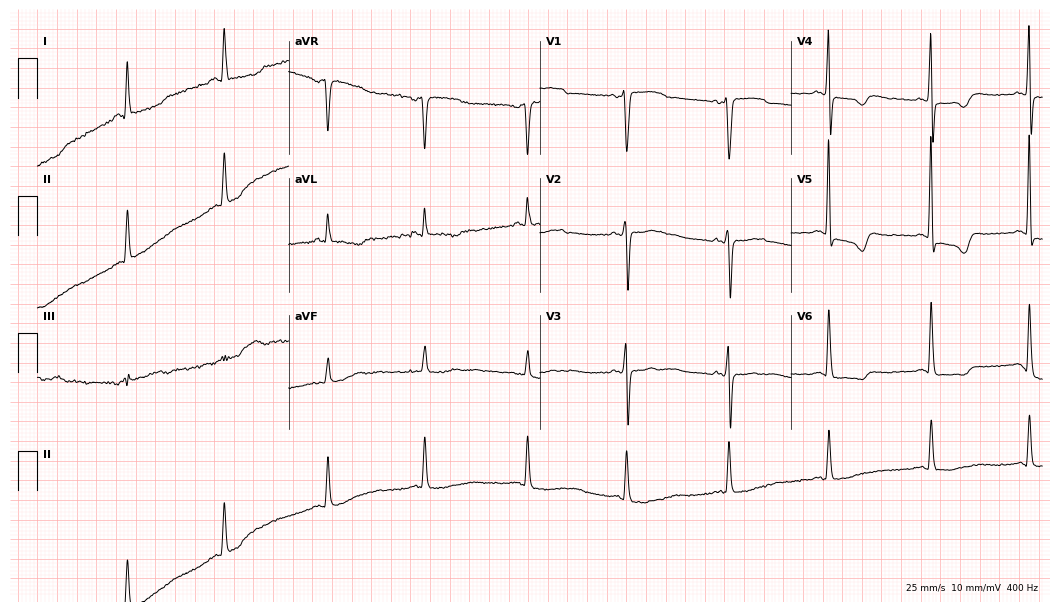
Standard 12-lead ECG recorded from a female patient, 49 years old (10.2-second recording at 400 Hz). None of these six findings is recorded: first-degree AV block, right bundle branch block (RBBB), left bundle branch block (LBBB), sinus bradycardia, atrial fibrillation (AF), sinus tachycardia.